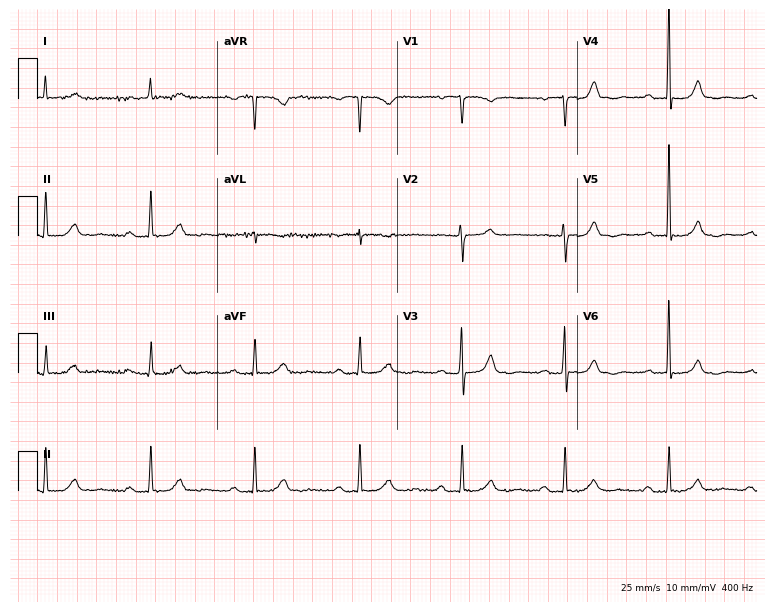
Resting 12-lead electrocardiogram. Patient: a female, 81 years old. Read as a normal ECG.